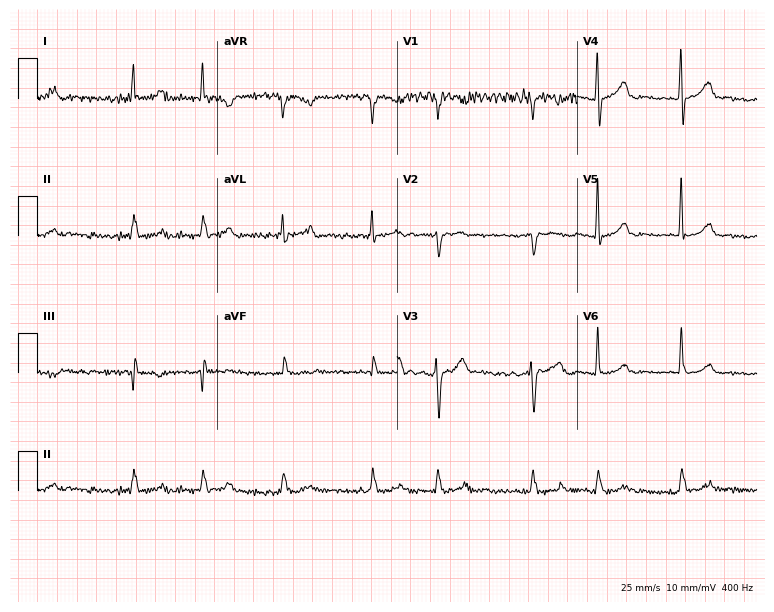
Standard 12-lead ECG recorded from a 70-year-old man (7.3-second recording at 400 Hz). The tracing shows atrial fibrillation (AF).